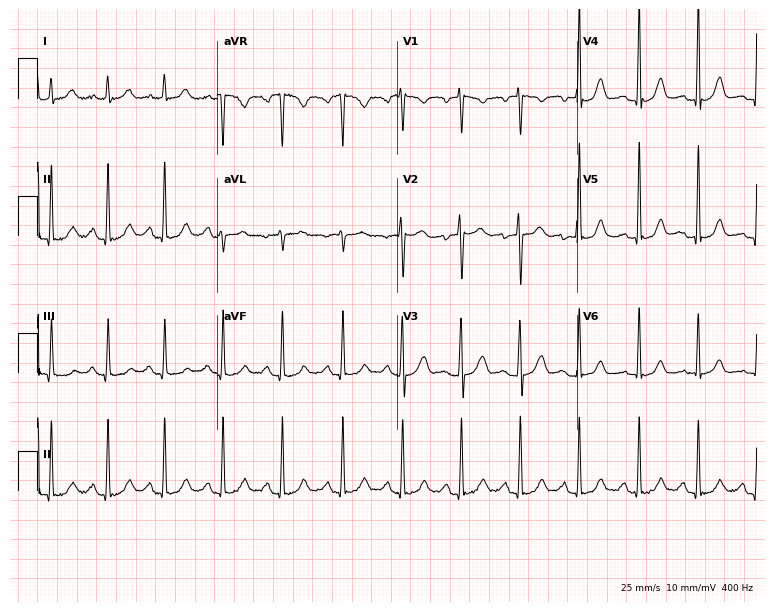
Electrocardiogram (7.3-second recording at 400 Hz), a 27-year-old woman. Interpretation includes sinus tachycardia (a sinus rate of 100 beats per minute or more).